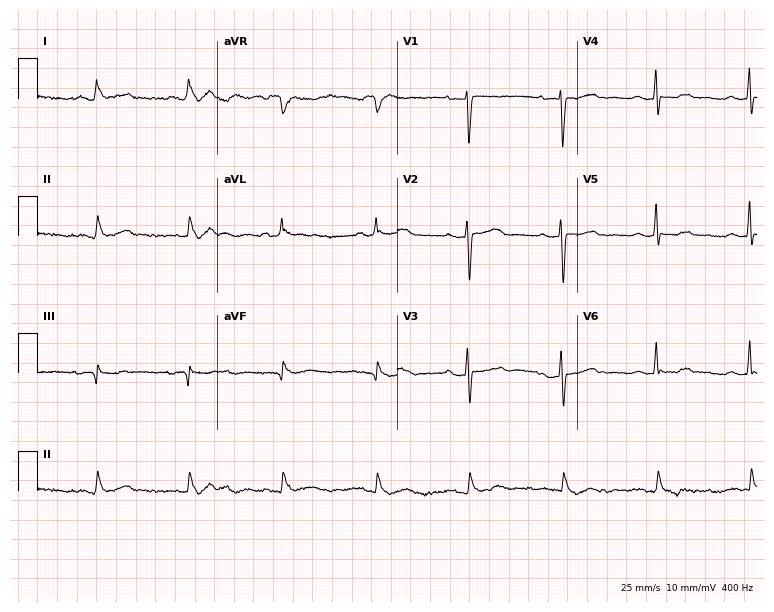
12-lead ECG from a 72-year-old woman (7.3-second recording at 400 Hz). No first-degree AV block, right bundle branch block, left bundle branch block, sinus bradycardia, atrial fibrillation or sinus tachycardia recorded for this tracing.